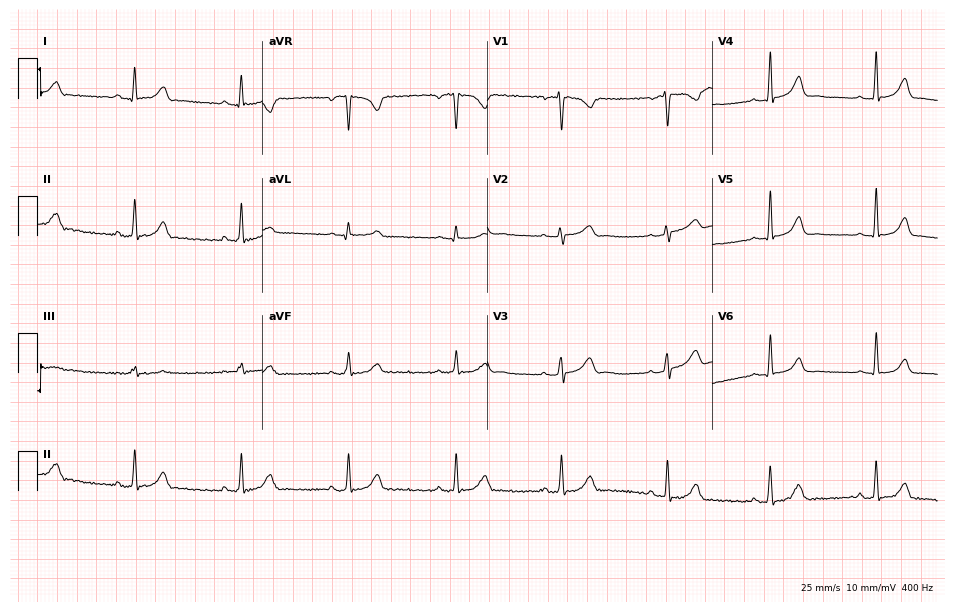
12-lead ECG from a 24-year-old female (9.2-second recording at 400 Hz). Recorded interpretation: within normal limits.